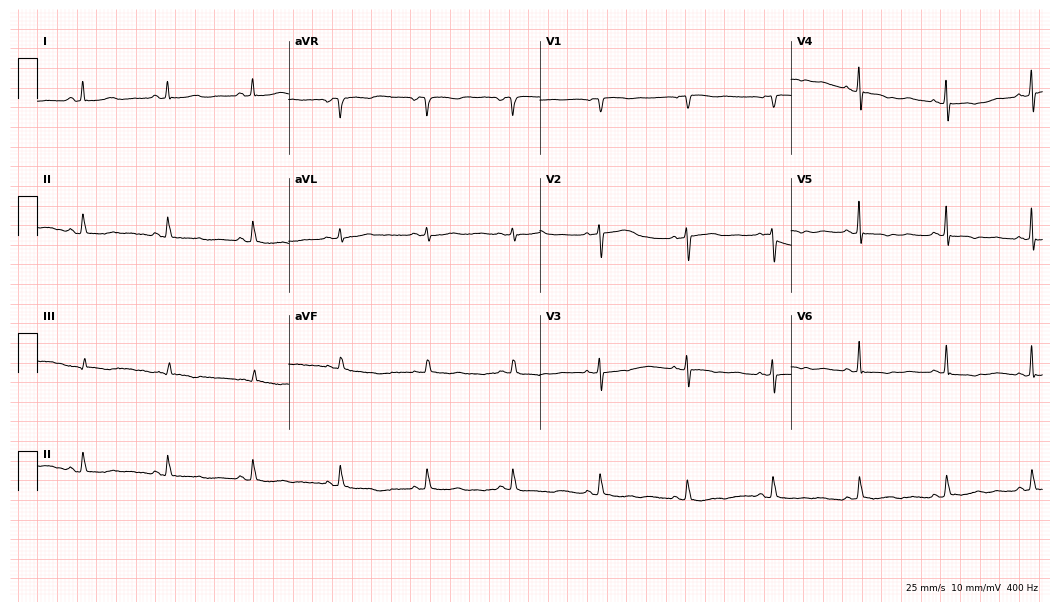
Electrocardiogram (10.2-second recording at 400 Hz), a 75-year-old woman. Of the six screened findings (first-degree AV block, right bundle branch block (RBBB), left bundle branch block (LBBB), sinus bradycardia, atrial fibrillation (AF), sinus tachycardia), none is recorded. Only these six findings were labelled.